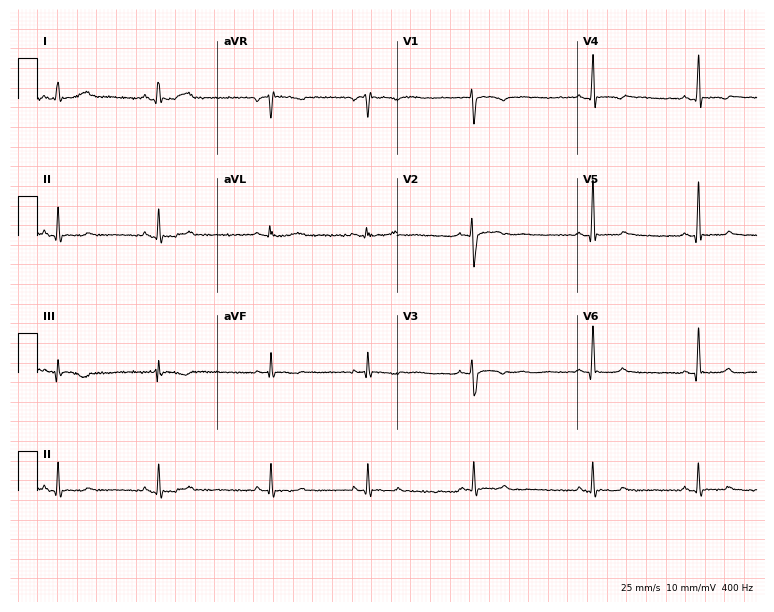
12-lead ECG from a woman, 27 years old. No first-degree AV block, right bundle branch block (RBBB), left bundle branch block (LBBB), sinus bradycardia, atrial fibrillation (AF) or sinus tachycardia recorded for this tracing. Other findings, if any, are not listed.